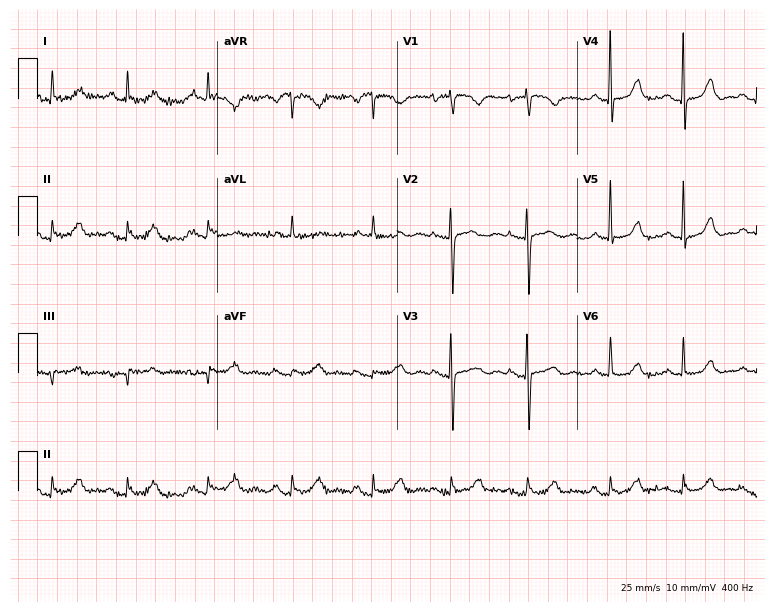
Standard 12-lead ECG recorded from an 82-year-old woman. None of these six findings is recorded: first-degree AV block, right bundle branch block (RBBB), left bundle branch block (LBBB), sinus bradycardia, atrial fibrillation (AF), sinus tachycardia.